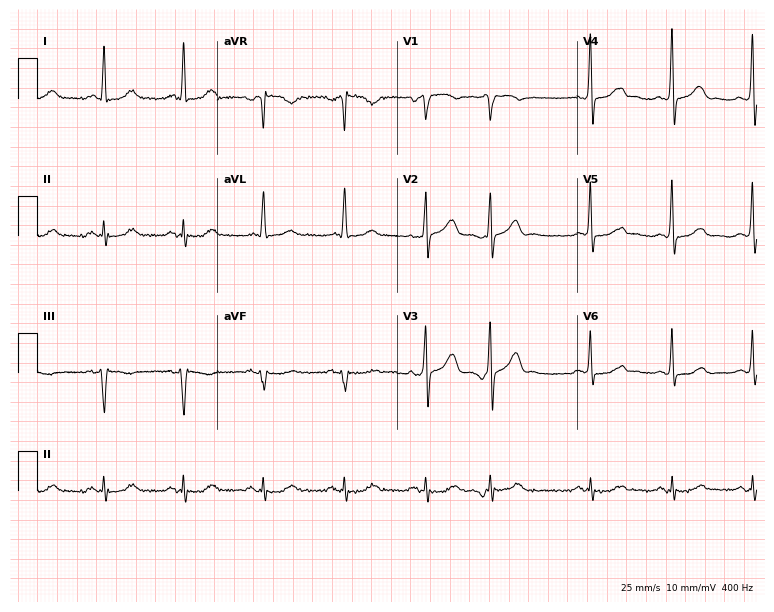
Standard 12-lead ECG recorded from a 61-year-old man. None of these six findings is recorded: first-degree AV block, right bundle branch block (RBBB), left bundle branch block (LBBB), sinus bradycardia, atrial fibrillation (AF), sinus tachycardia. Findings outside these six are not listed.